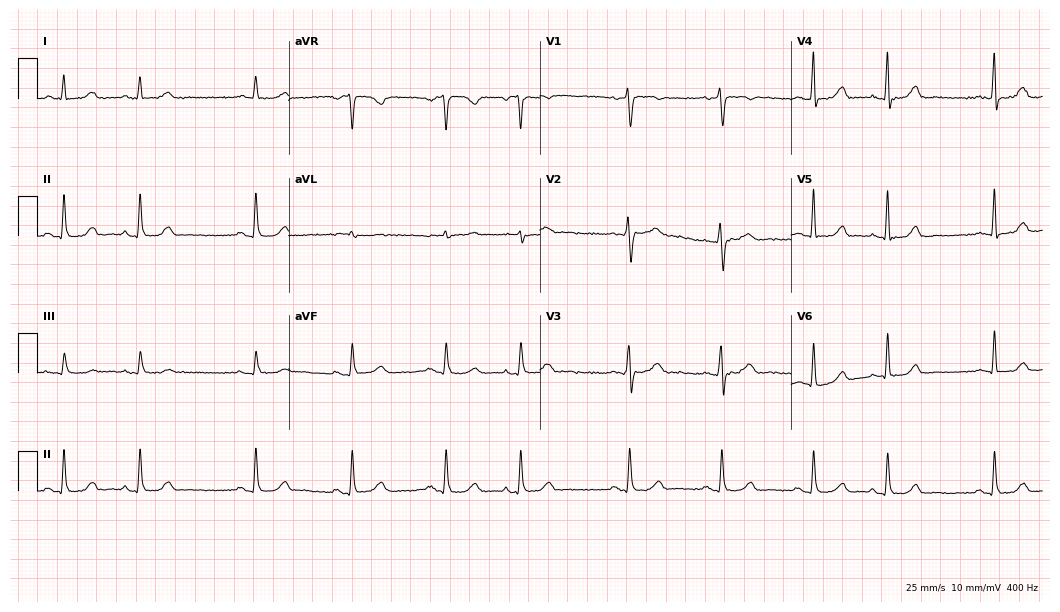
Resting 12-lead electrocardiogram. Patient: a female, 59 years old. Read as a normal ECG.